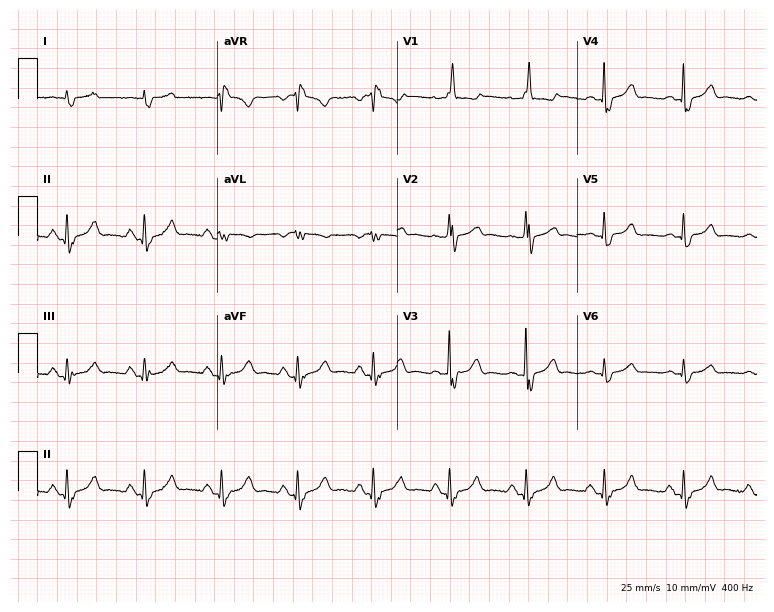
12-lead ECG (7.3-second recording at 400 Hz) from an 81-year-old male. Findings include right bundle branch block.